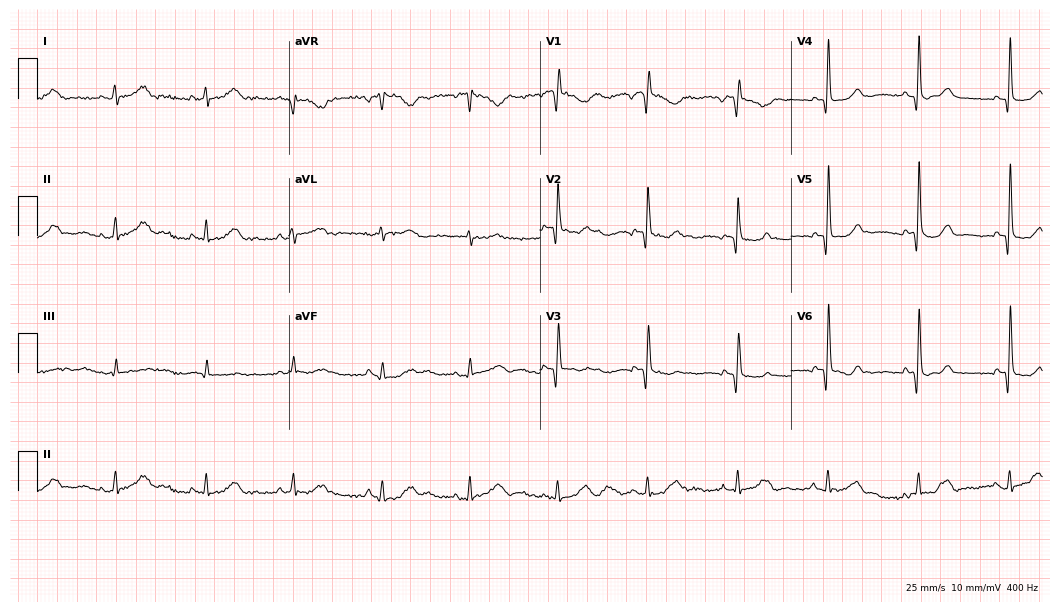
Resting 12-lead electrocardiogram (10.2-second recording at 400 Hz). Patient: a 34-year-old woman. Read as a normal ECG.